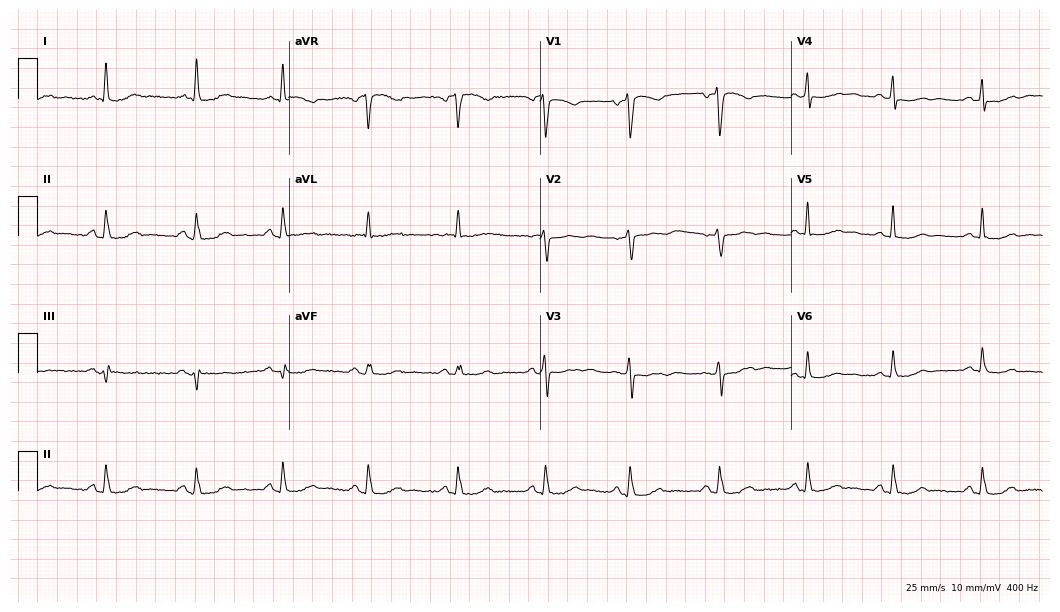
Standard 12-lead ECG recorded from a 61-year-old female patient (10.2-second recording at 400 Hz). None of these six findings is recorded: first-degree AV block, right bundle branch block, left bundle branch block, sinus bradycardia, atrial fibrillation, sinus tachycardia. Only these six findings were labelled.